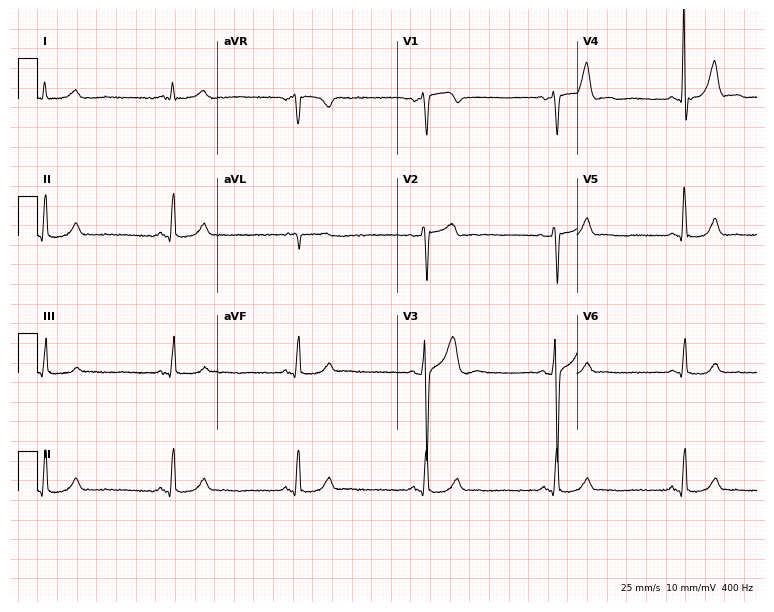
12-lead ECG from a 56-year-old man (7.3-second recording at 400 Hz). Shows sinus bradycardia (a sinus rate of 50 beats per minute or less).